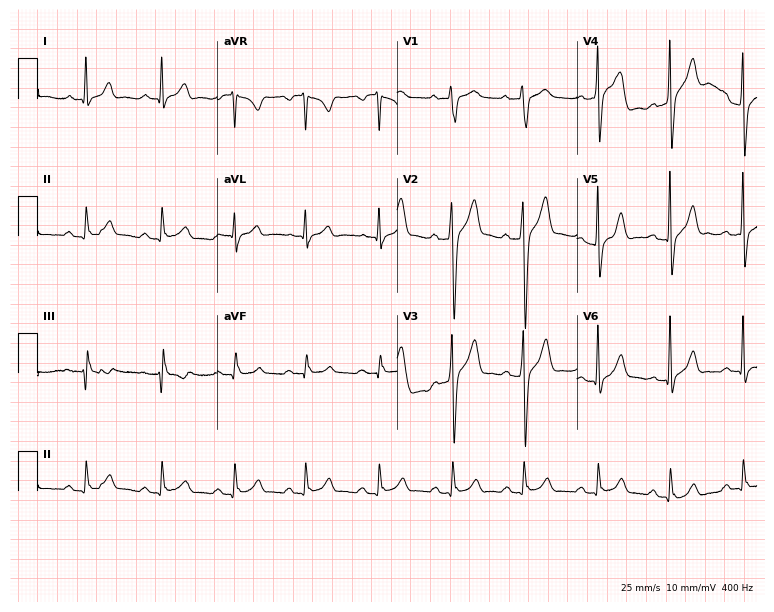
Standard 12-lead ECG recorded from a male, 24 years old (7.3-second recording at 400 Hz). Read as a normal ECG.